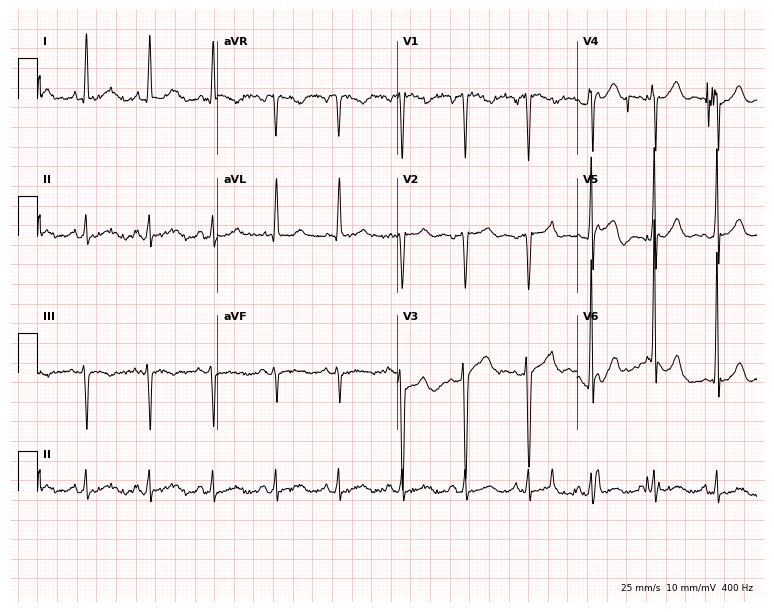
12-lead ECG from a man, 59 years old. No first-degree AV block, right bundle branch block (RBBB), left bundle branch block (LBBB), sinus bradycardia, atrial fibrillation (AF) or sinus tachycardia recorded for this tracing. Only these six findings were labelled.